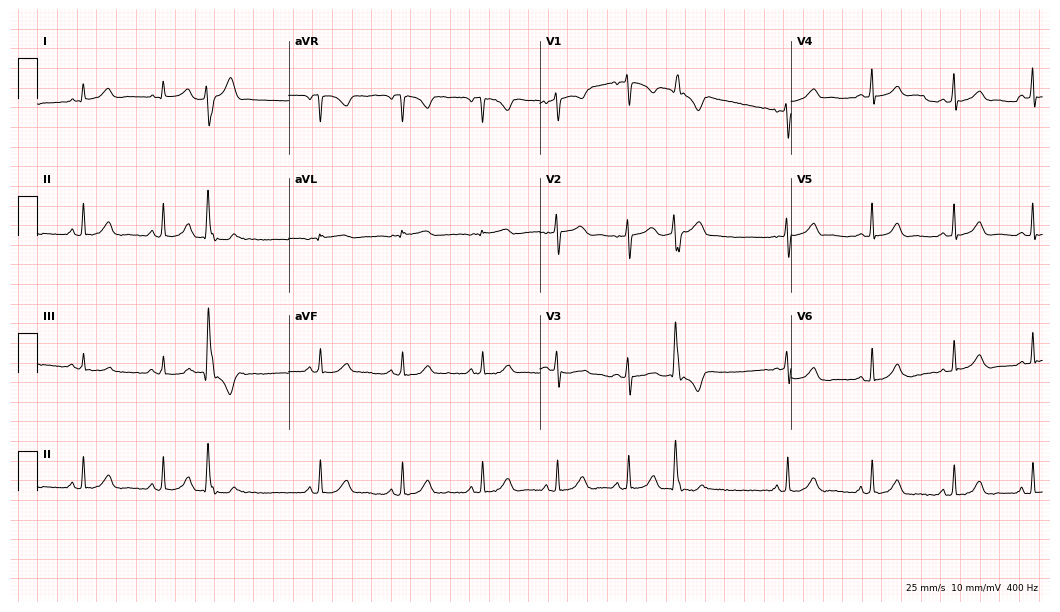
Electrocardiogram (10.2-second recording at 400 Hz), a woman, 20 years old. Of the six screened findings (first-degree AV block, right bundle branch block, left bundle branch block, sinus bradycardia, atrial fibrillation, sinus tachycardia), none is recorded.